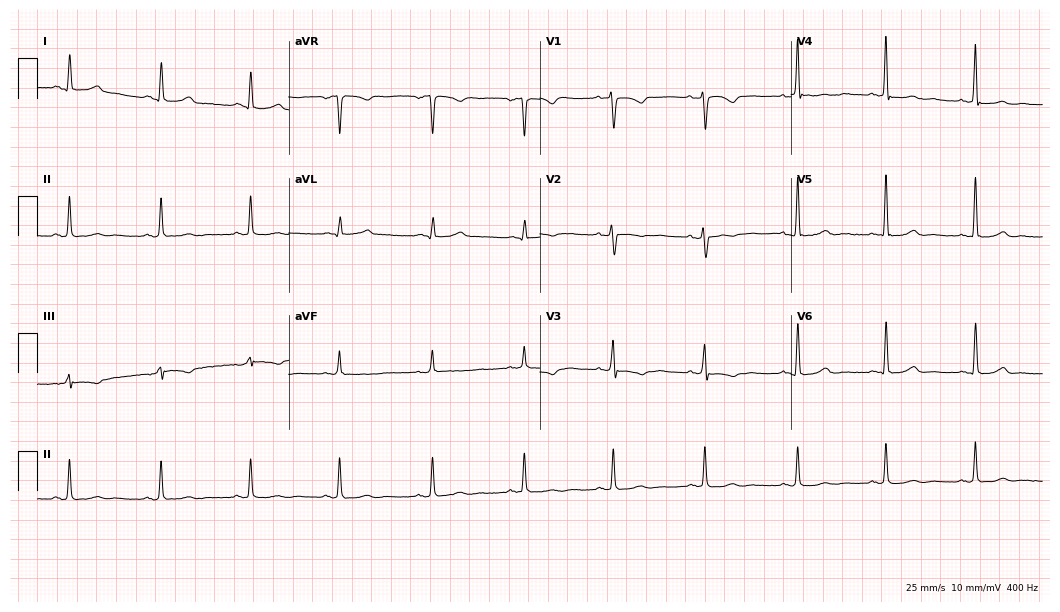
ECG (10.2-second recording at 400 Hz) — a 51-year-old woman. Screened for six findings — first-degree AV block, right bundle branch block, left bundle branch block, sinus bradycardia, atrial fibrillation, sinus tachycardia — none is recorded. Only these six findings were labelled.